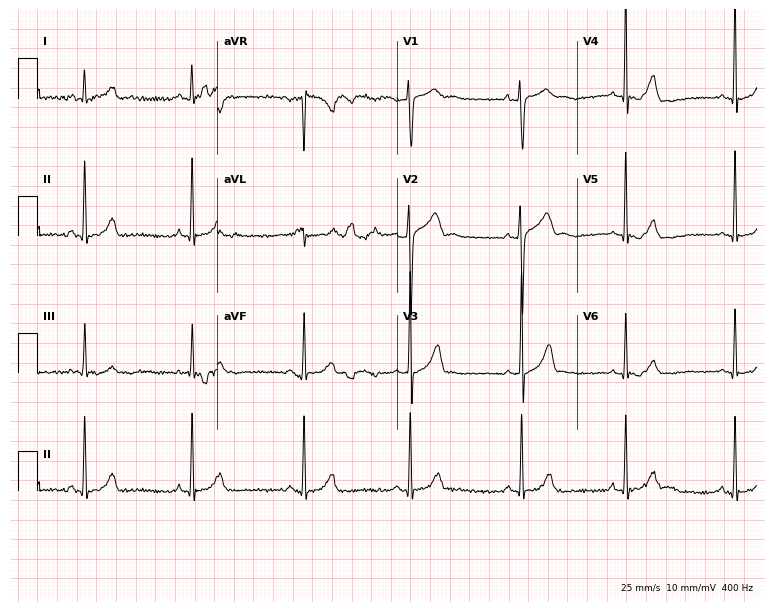
12-lead ECG (7.3-second recording at 400 Hz) from a 17-year-old man. Labelled as a normal ECG.